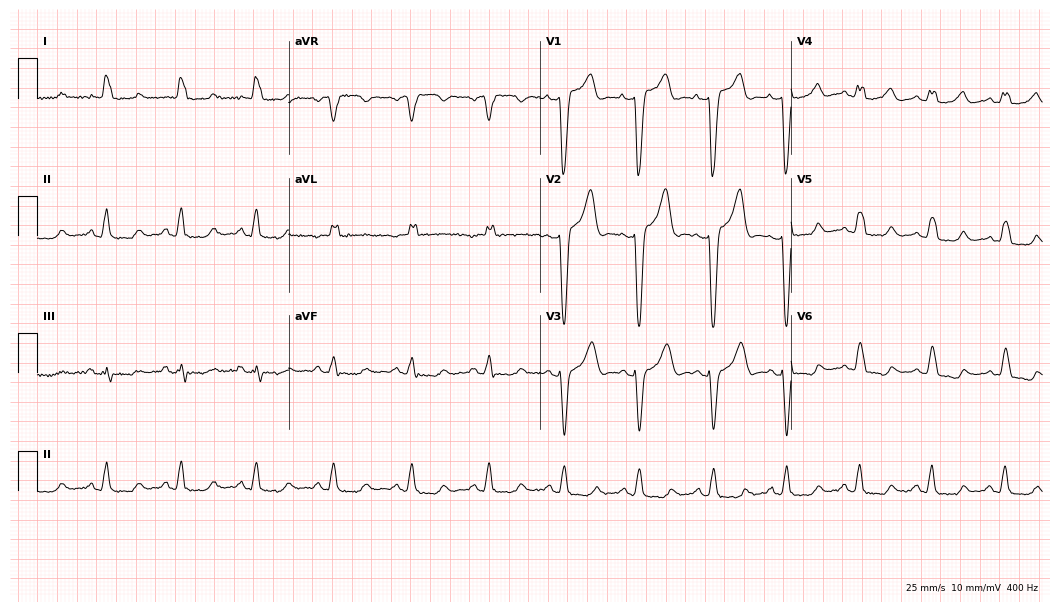
Resting 12-lead electrocardiogram (10.2-second recording at 400 Hz). Patient: a female, 62 years old. The tracing shows left bundle branch block.